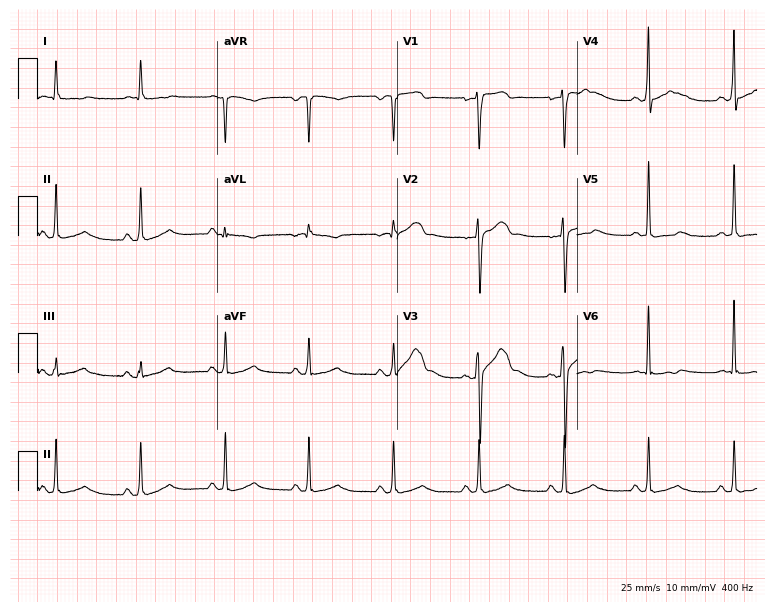
12-lead ECG (7.3-second recording at 400 Hz) from a 75-year-old male patient. Screened for six findings — first-degree AV block, right bundle branch block, left bundle branch block, sinus bradycardia, atrial fibrillation, sinus tachycardia — none is recorded. Findings outside these six are not listed.